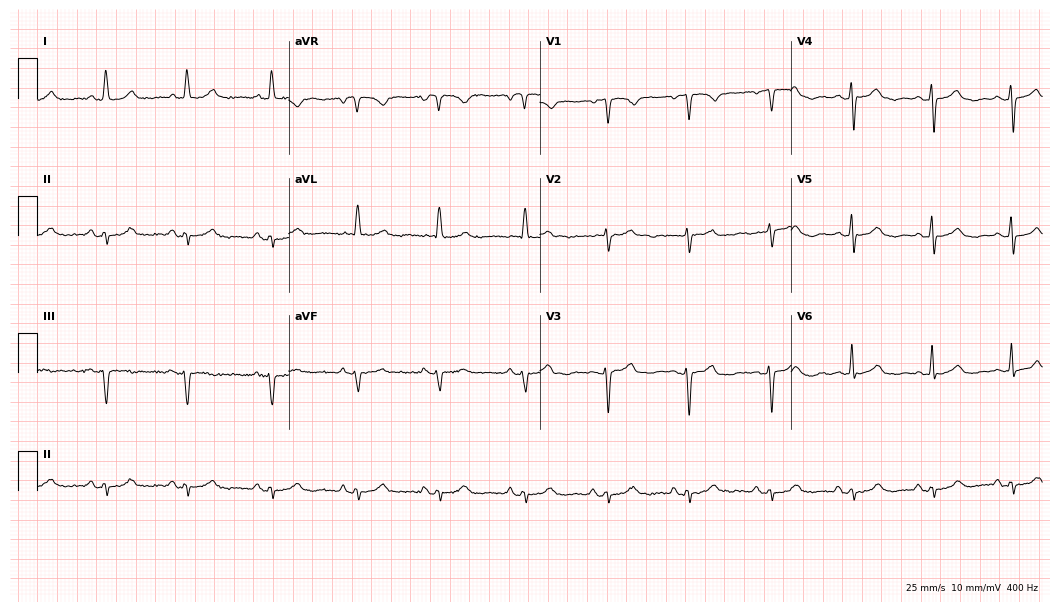
12-lead ECG from a woman, 85 years old. Screened for six findings — first-degree AV block, right bundle branch block, left bundle branch block, sinus bradycardia, atrial fibrillation, sinus tachycardia — none is recorded.